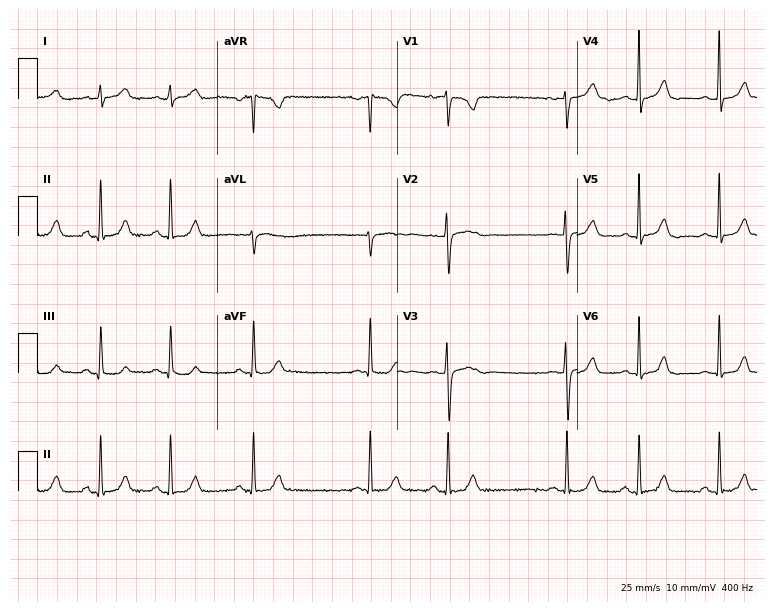
ECG — a 19-year-old female. Labelled as a normal ECG.